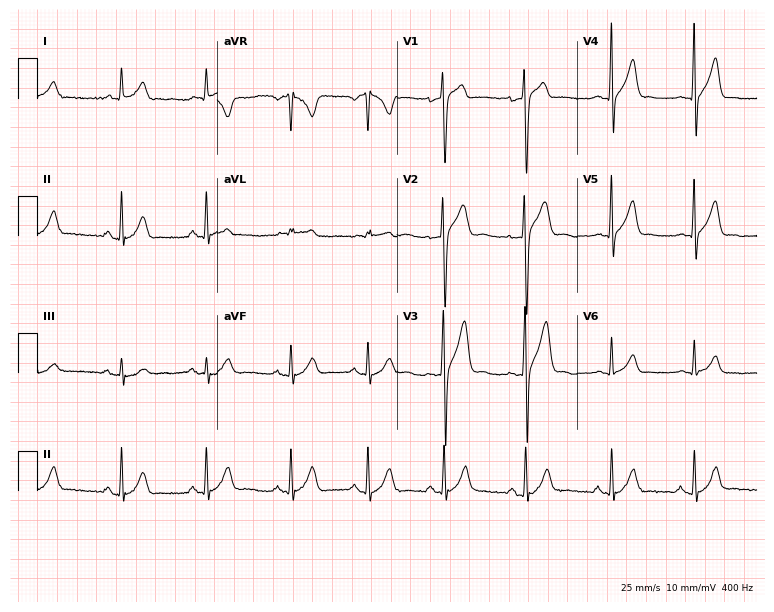
ECG (7.3-second recording at 400 Hz) — a 20-year-old man. Screened for six findings — first-degree AV block, right bundle branch block, left bundle branch block, sinus bradycardia, atrial fibrillation, sinus tachycardia — none is recorded. Other findings, if any, are not listed.